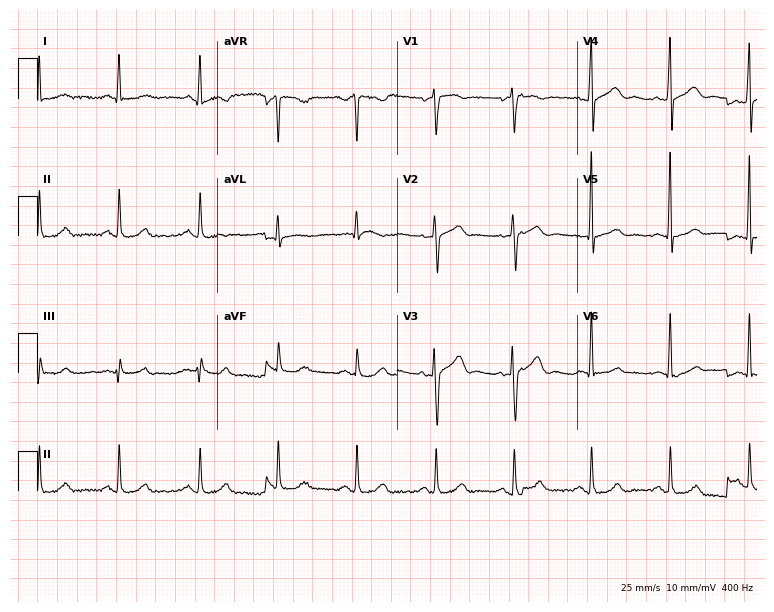
ECG — a female, 58 years old. Labelled as a normal ECG.